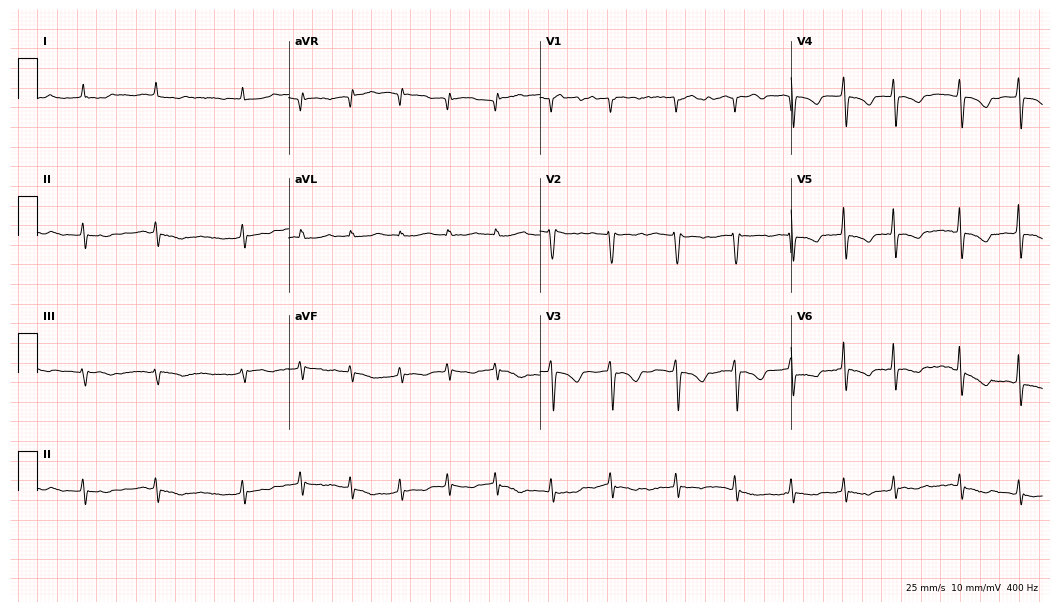
Standard 12-lead ECG recorded from a 78-year-old female. The tracing shows atrial fibrillation.